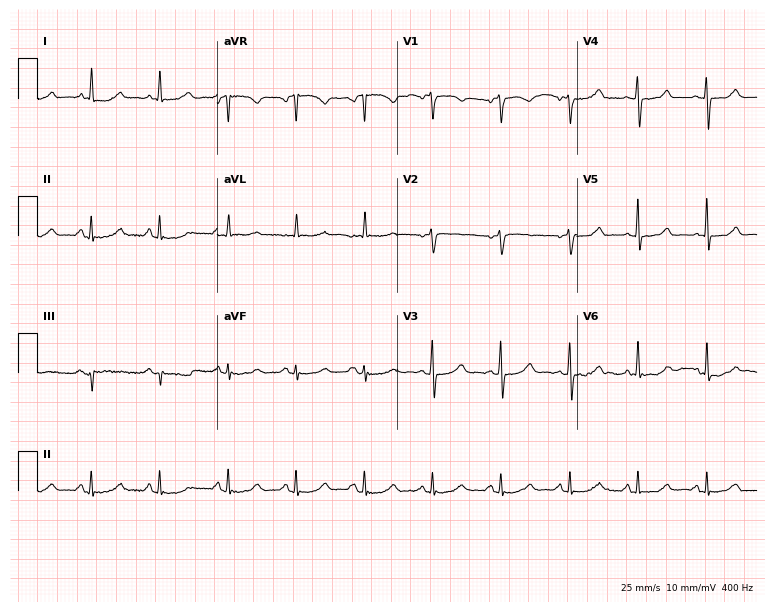
Standard 12-lead ECG recorded from a female, 62 years old. None of these six findings is recorded: first-degree AV block, right bundle branch block (RBBB), left bundle branch block (LBBB), sinus bradycardia, atrial fibrillation (AF), sinus tachycardia.